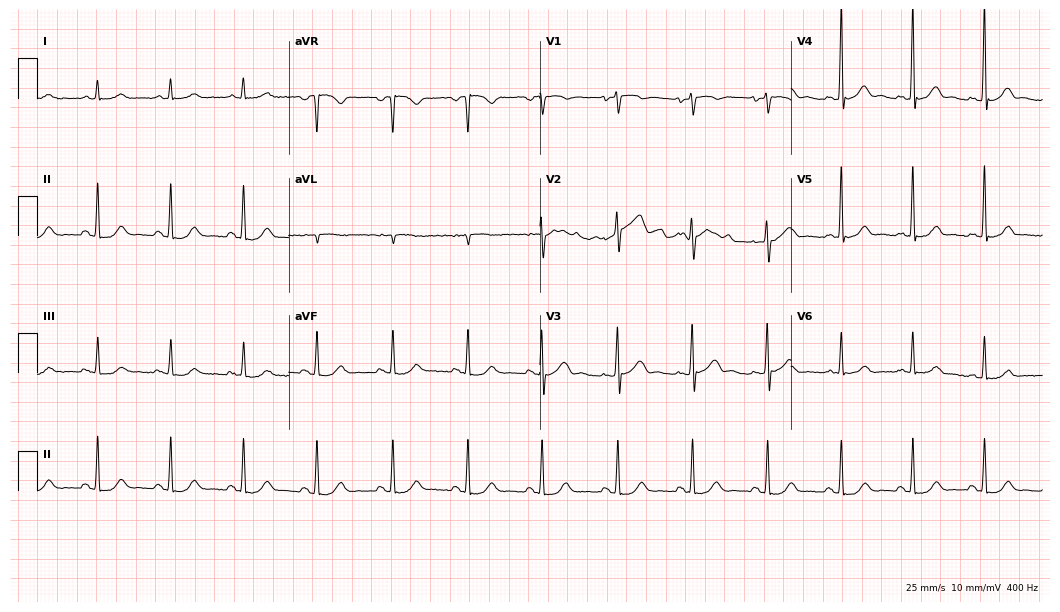
12-lead ECG (10.2-second recording at 400 Hz) from a male patient, 56 years old. Labelled as a normal ECG.